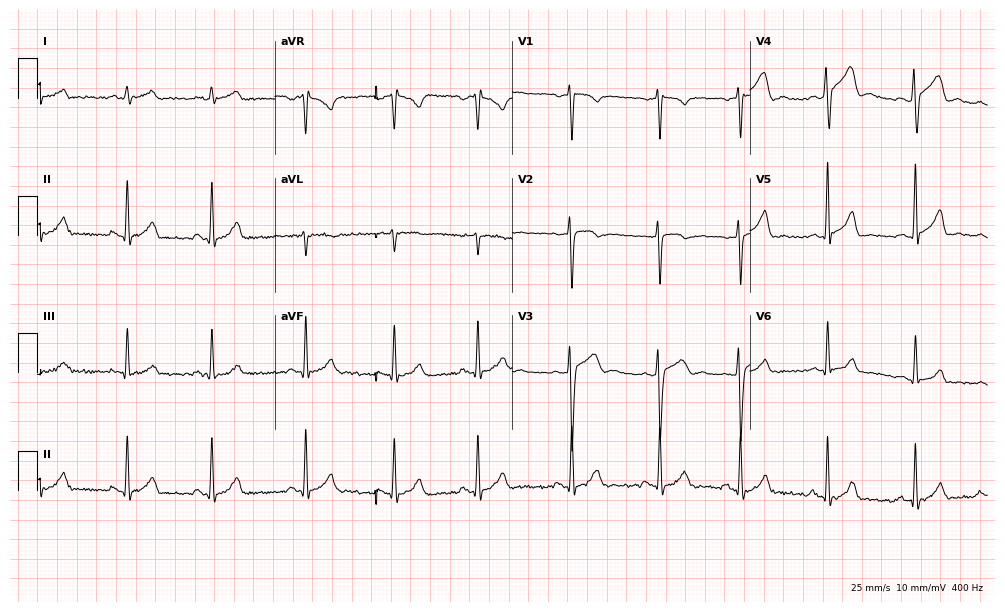
Resting 12-lead electrocardiogram. Patient: a 19-year-old male. Read as a normal ECG.